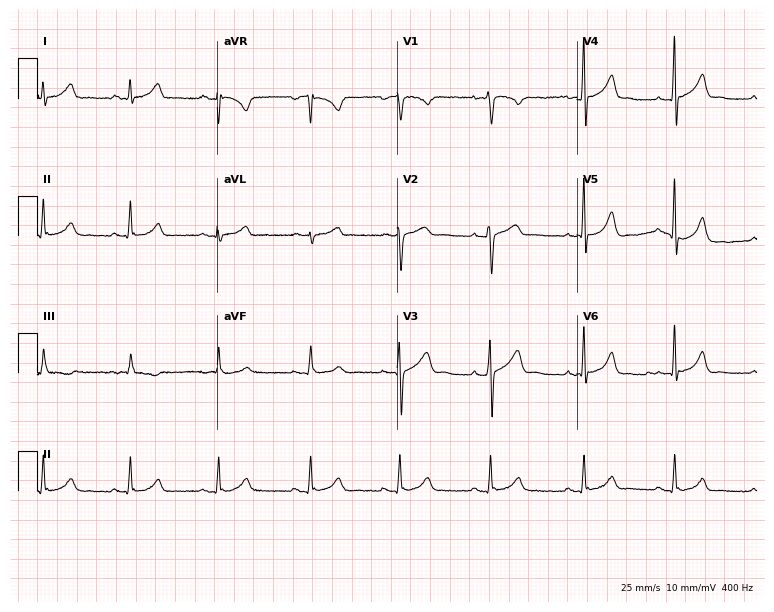
12-lead ECG from a 38-year-old male patient. Screened for six findings — first-degree AV block, right bundle branch block (RBBB), left bundle branch block (LBBB), sinus bradycardia, atrial fibrillation (AF), sinus tachycardia — none is recorded.